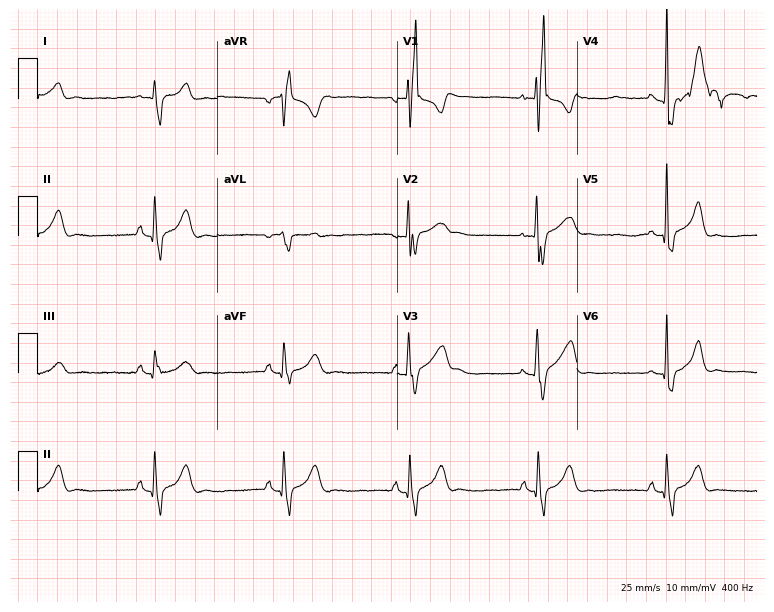
12-lead ECG from a 27-year-old man. Findings include right bundle branch block, sinus bradycardia (a sinus rate of 50 beats per minute or less).